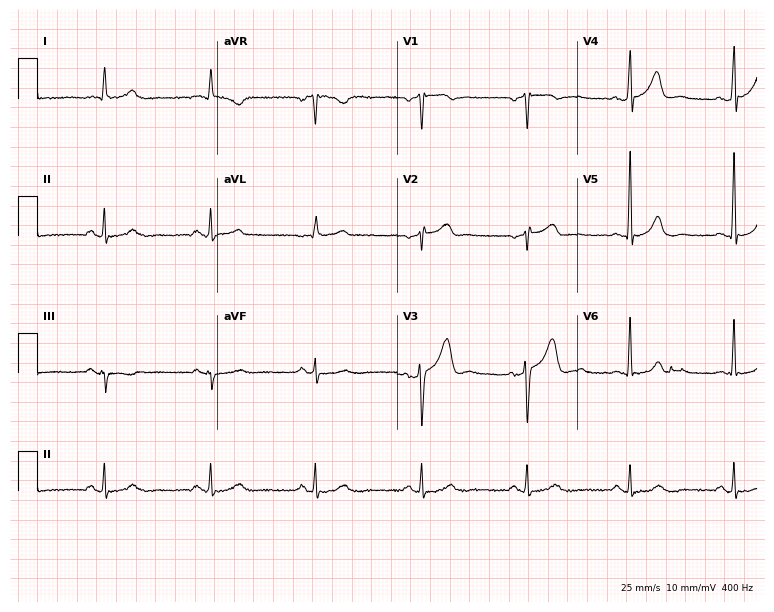
12-lead ECG from a male, 55 years old. Screened for six findings — first-degree AV block, right bundle branch block, left bundle branch block, sinus bradycardia, atrial fibrillation, sinus tachycardia — none is recorded. Findings outside these six are not listed.